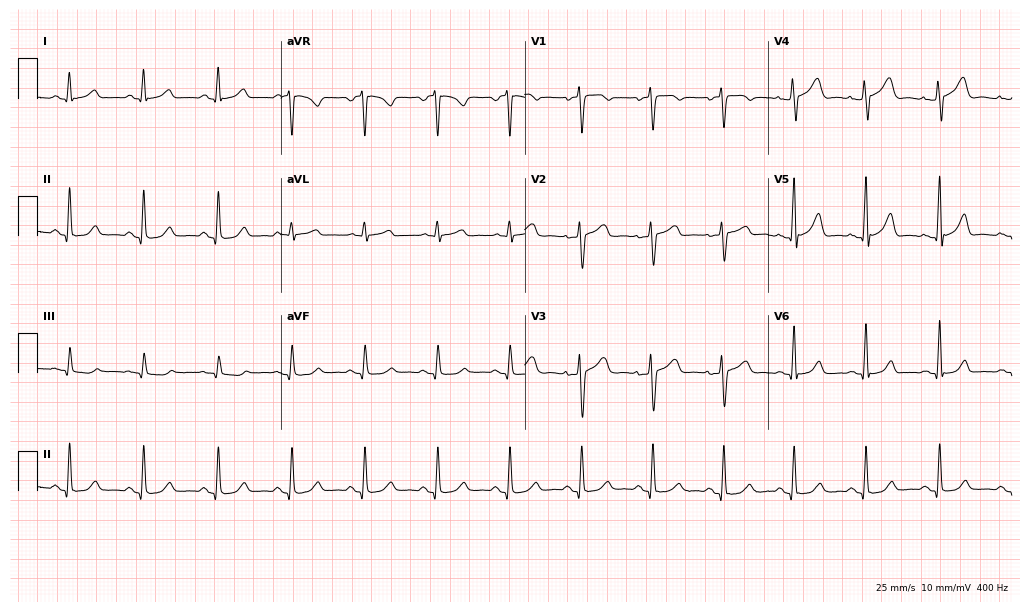
12-lead ECG from a 47-year-old female patient. Screened for six findings — first-degree AV block, right bundle branch block, left bundle branch block, sinus bradycardia, atrial fibrillation, sinus tachycardia — none is recorded. Findings outside these six are not listed.